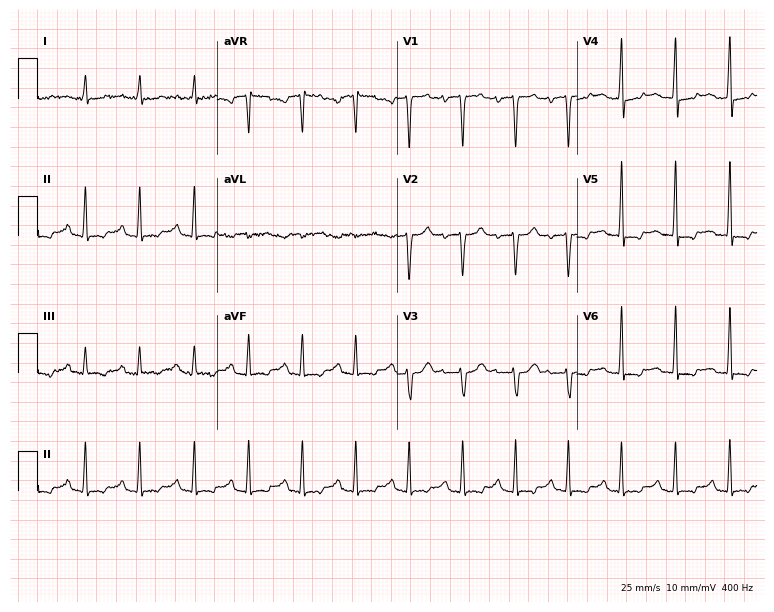
12-lead ECG (7.3-second recording at 400 Hz) from a man, 38 years old. Screened for six findings — first-degree AV block, right bundle branch block, left bundle branch block, sinus bradycardia, atrial fibrillation, sinus tachycardia — none is recorded.